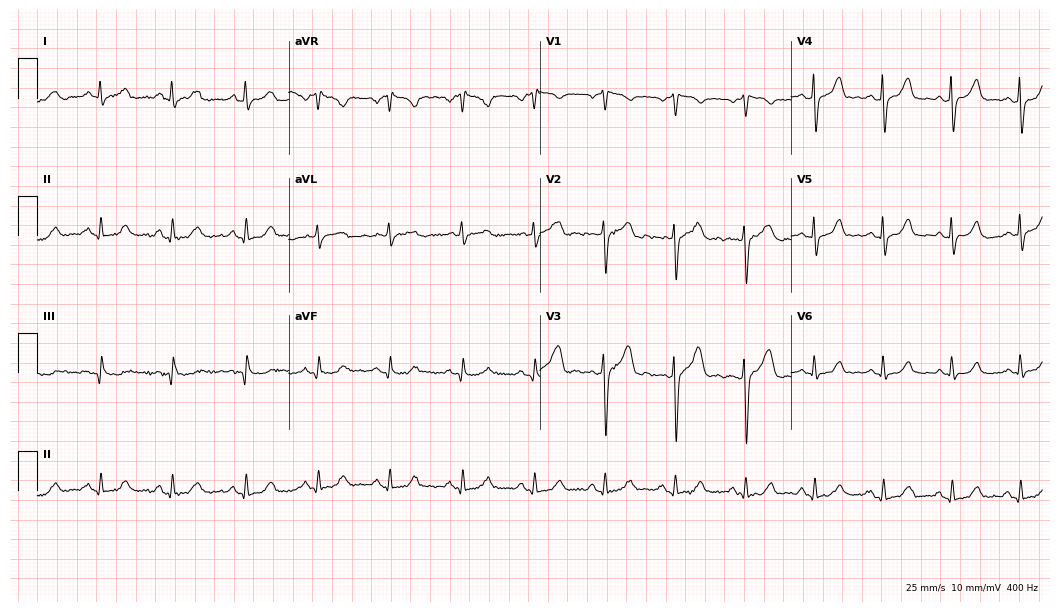
Resting 12-lead electrocardiogram. Patient: a 45-year-old female. Read as a normal ECG.